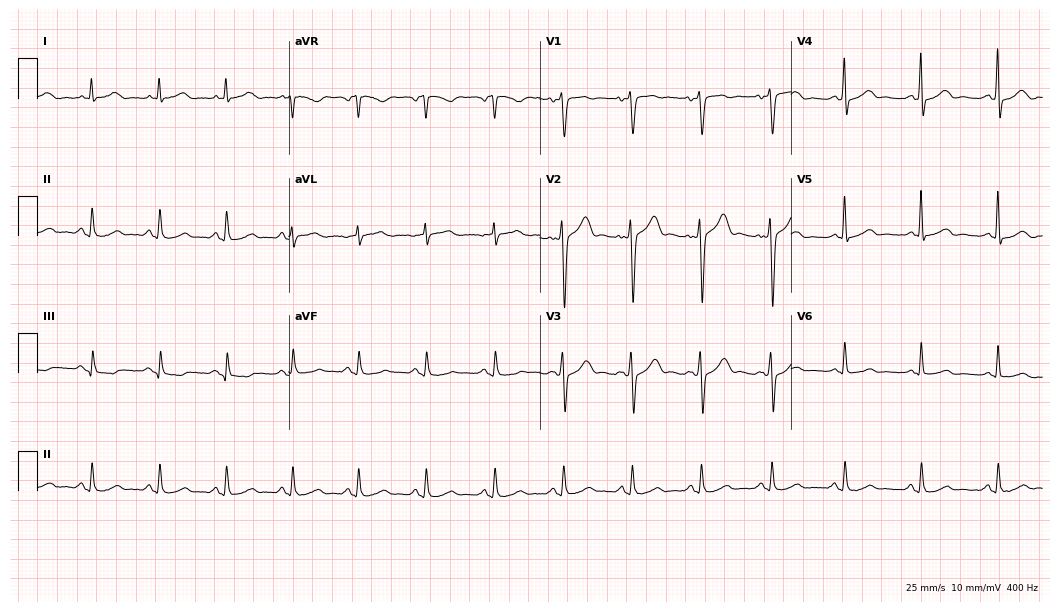
Electrocardiogram, a 55-year-old man. Overall reading on record: normal ECG.